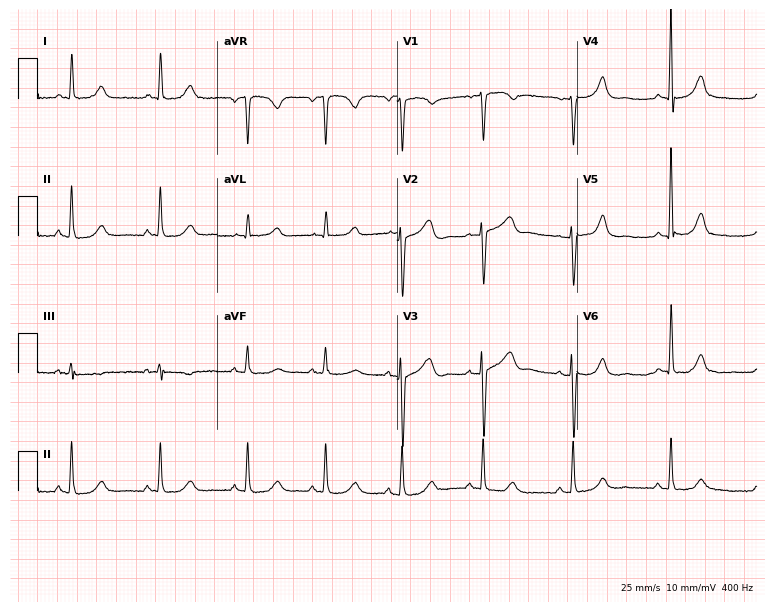
Resting 12-lead electrocardiogram (7.3-second recording at 400 Hz). Patient: a 60-year-old female. Read as a normal ECG.